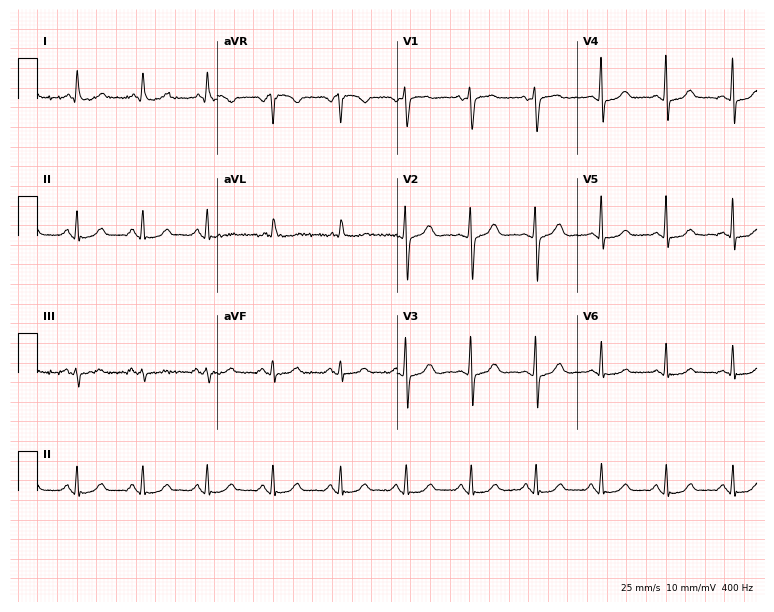
Standard 12-lead ECG recorded from a female patient, 71 years old. None of these six findings is recorded: first-degree AV block, right bundle branch block, left bundle branch block, sinus bradycardia, atrial fibrillation, sinus tachycardia. Other findings, if any, are not listed.